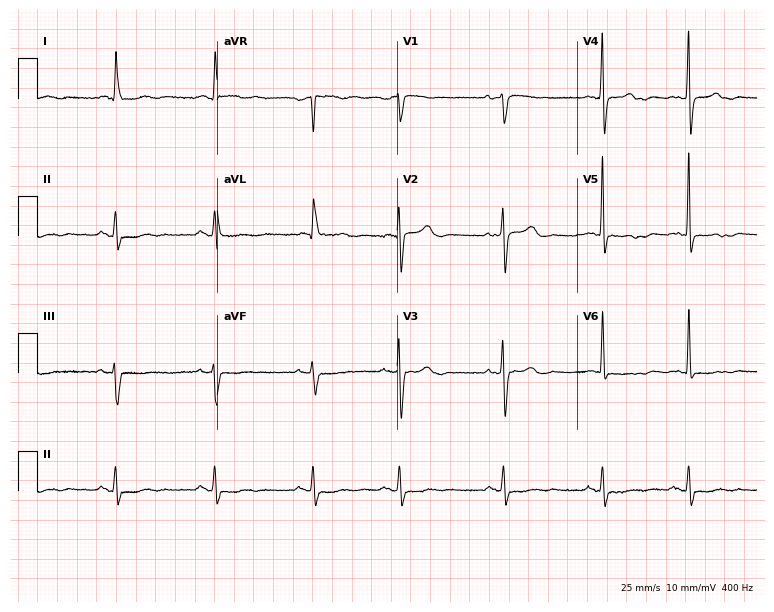
ECG — a female patient, 79 years old. Labelled as a normal ECG.